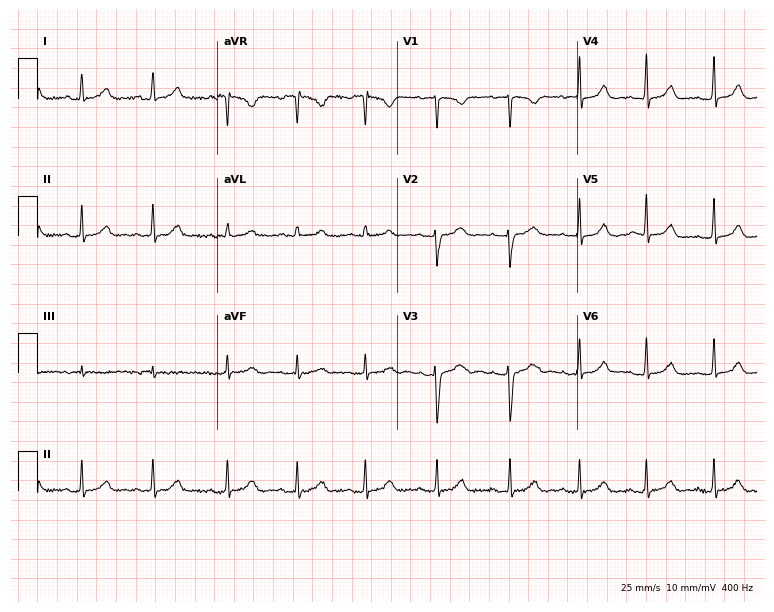
ECG — a female patient, 23 years old. Labelled as a normal ECG.